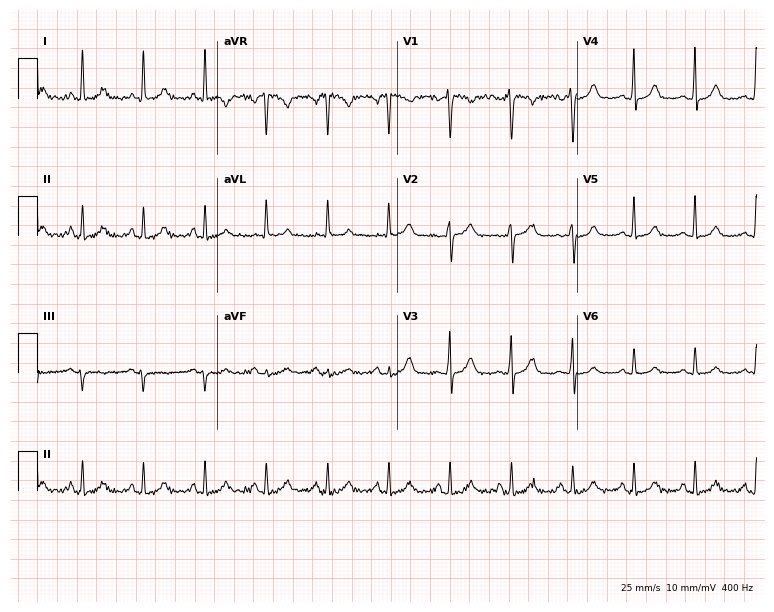
Electrocardiogram (7.3-second recording at 400 Hz), a 41-year-old female. Overall reading on record: normal ECG.